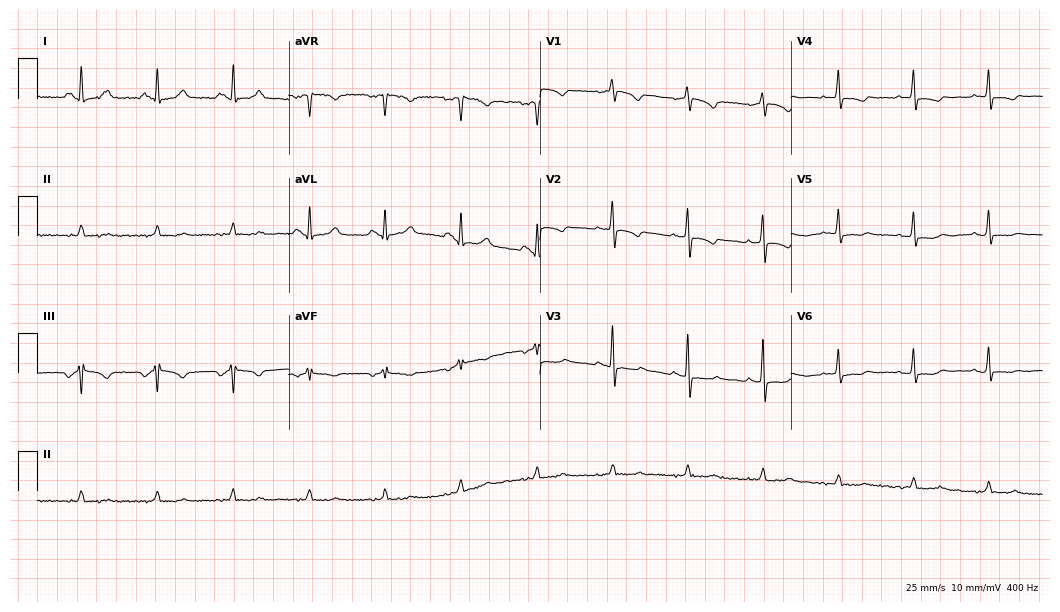
Resting 12-lead electrocardiogram. Patient: a 50-year-old female. None of these six findings is recorded: first-degree AV block, right bundle branch block, left bundle branch block, sinus bradycardia, atrial fibrillation, sinus tachycardia. Findings outside these six are not listed.